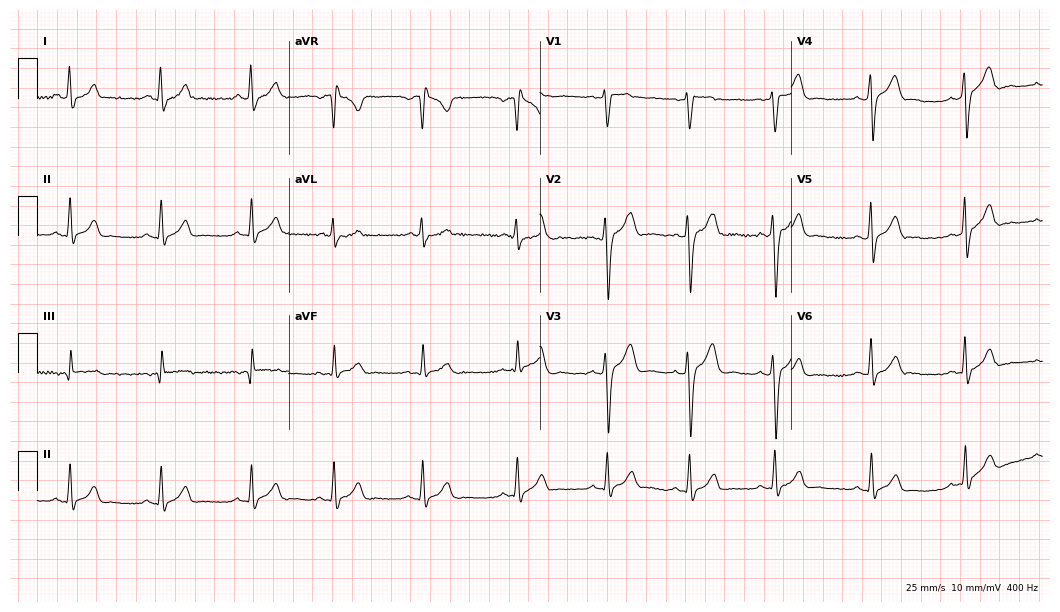
12-lead ECG (10.2-second recording at 400 Hz) from a 32-year-old female. Screened for six findings — first-degree AV block, right bundle branch block, left bundle branch block, sinus bradycardia, atrial fibrillation, sinus tachycardia — none is recorded. Findings outside these six are not listed.